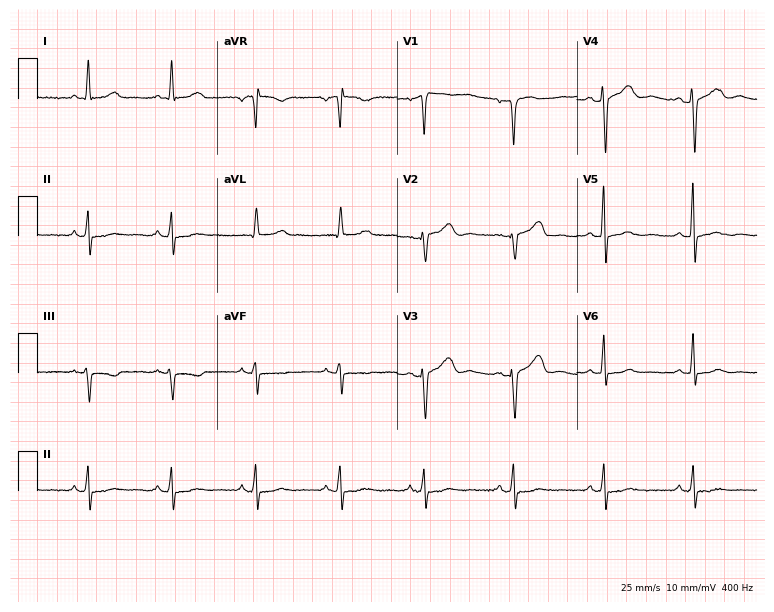
12-lead ECG from a female, 55 years old. Screened for six findings — first-degree AV block, right bundle branch block (RBBB), left bundle branch block (LBBB), sinus bradycardia, atrial fibrillation (AF), sinus tachycardia — none is recorded. Other findings, if any, are not listed.